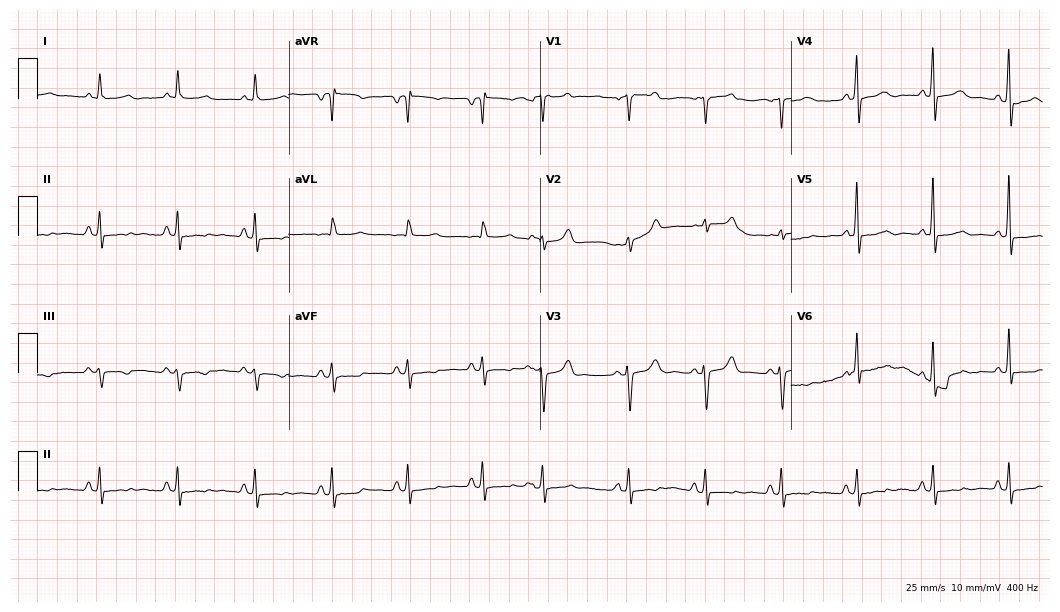
12-lead ECG from a man, 69 years old. Labelled as a normal ECG.